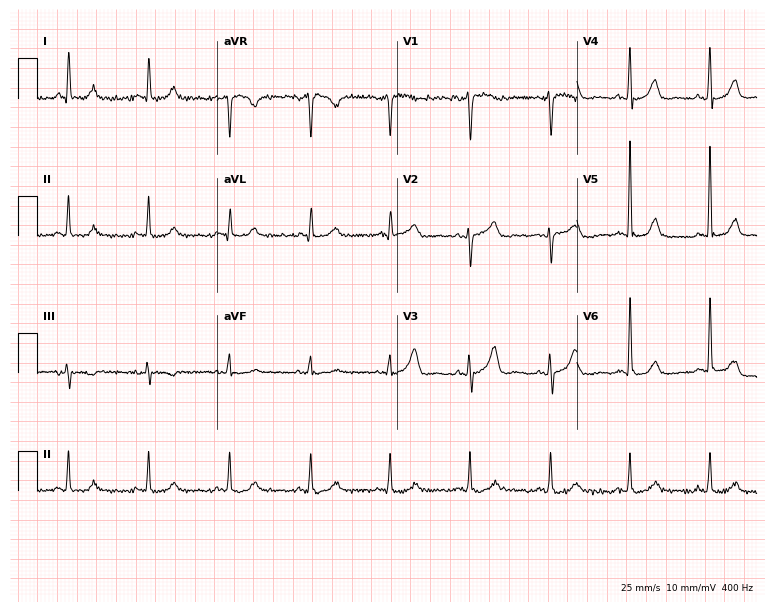
Resting 12-lead electrocardiogram (7.3-second recording at 400 Hz). Patient: a 66-year-old woman. Read as a normal ECG.